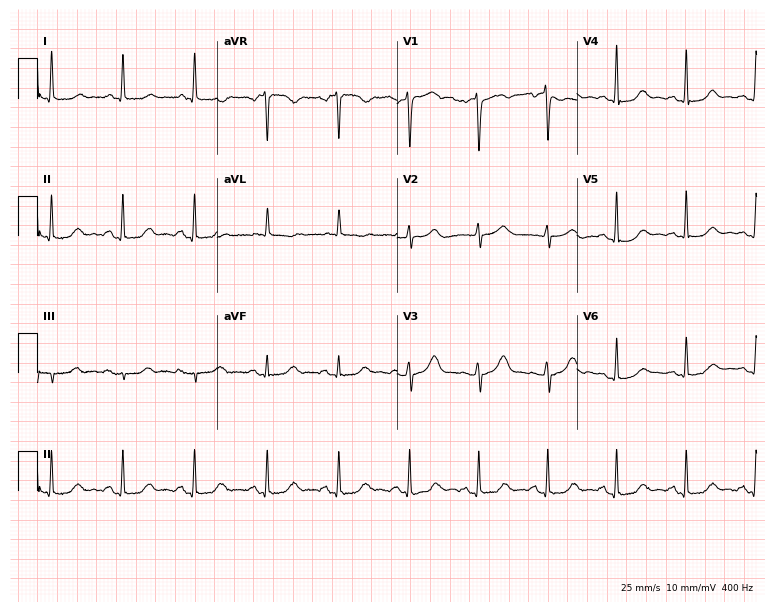
12-lead ECG from a 74-year-old woman. Recorded interpretation: within normal limits.